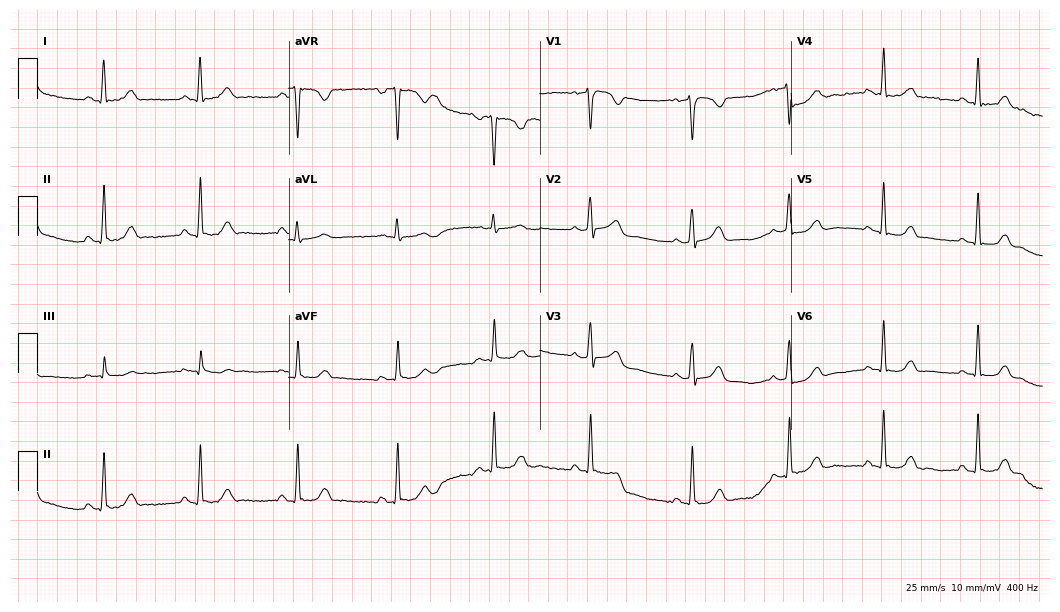
12-lead ECG from a female, 48 years old (10.2-second recording at 400 Hz). No first-degree AV block, right bundle branch block, left bundle branch block, sinus bradycardia, atrial fibrillation or sinus tachycardia recorded for this tracing.